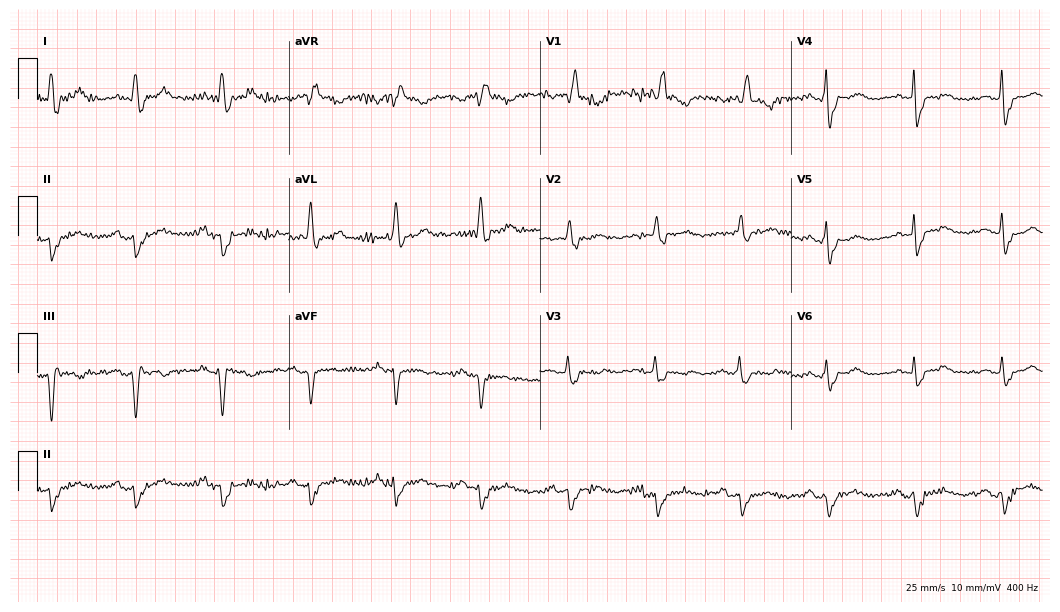
Electrocardiogram, an 82-year-old female patient. Interpretation includes right bundle branch block (RBBB).